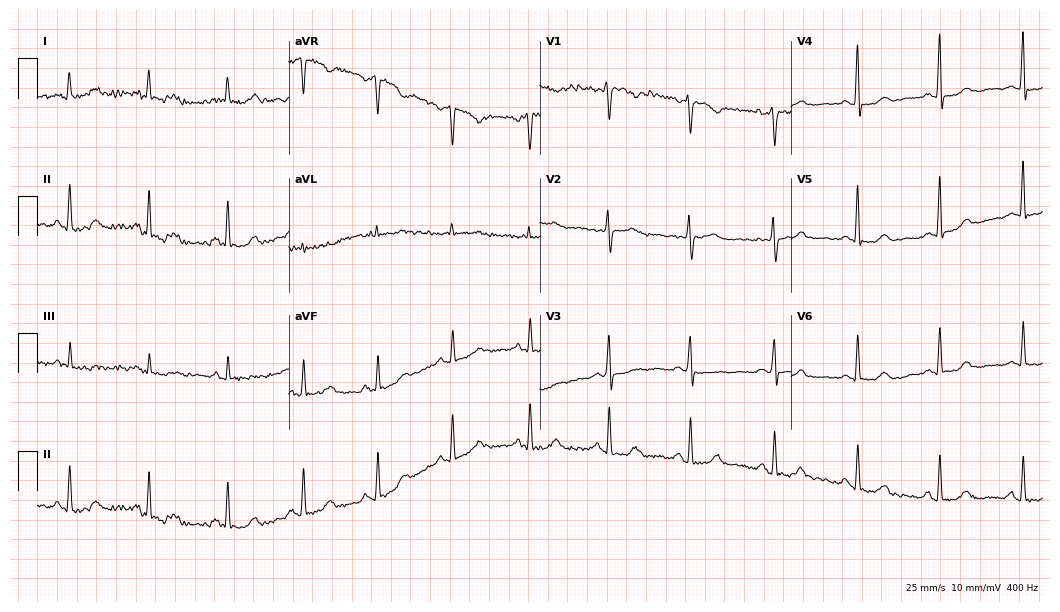
12-lead ECG from a female patient, 57 years old. Recorded interpretation: within normal limits.